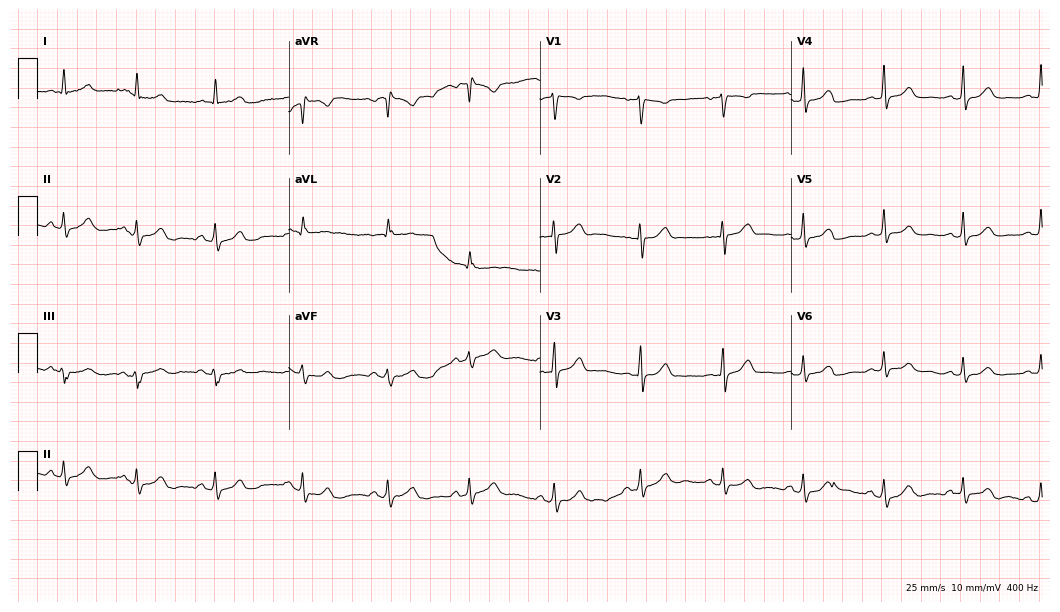
Standard 12-lead ECG recorded from a female, 40 years old. Read as a normal ECG.